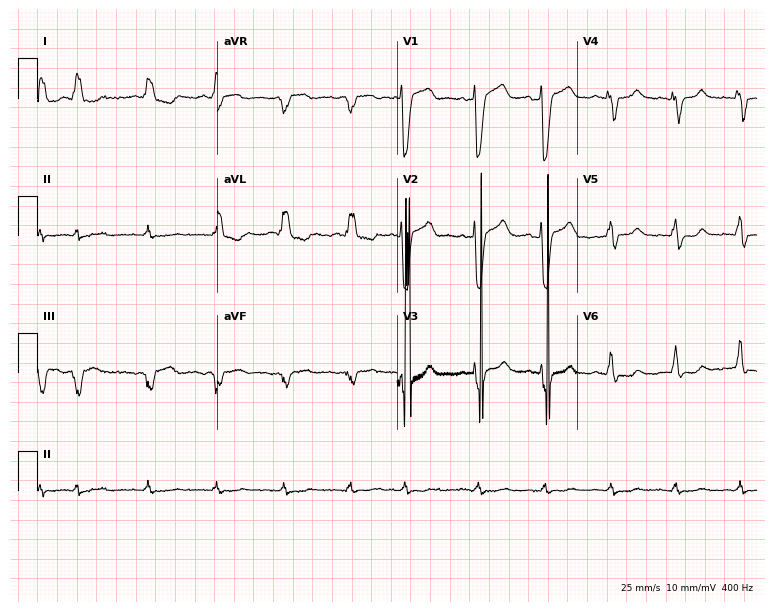
12-lead ECG (7.3-second recording at 400 Hz) from a female, 78 years old. Screened for six findings — first-degree AV block, right bundle branch block (RBBB), left bundle branch block (LBBB), sinus bradycardia, atrial fibrillation (AF), sinus tachycardia — none is recorded.